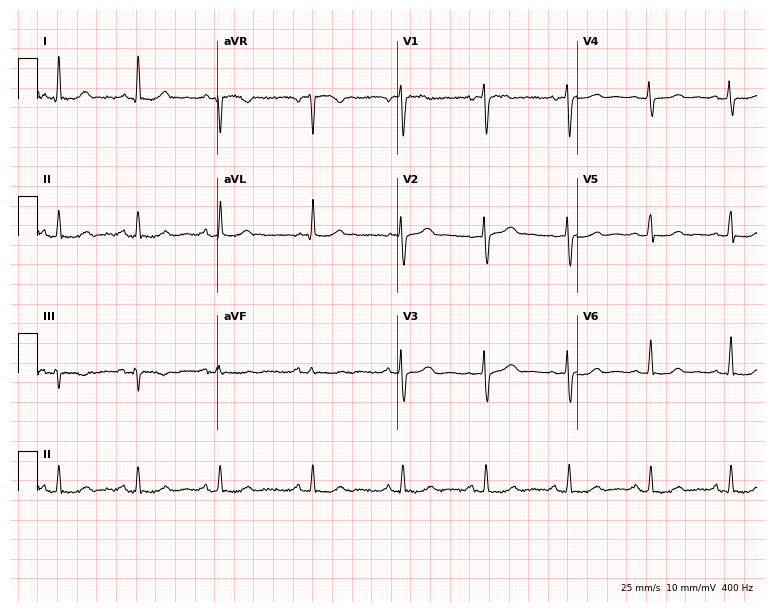
Resting 12-lead electrocardiogram. Patient: a female, 55 years old. None of these six findings is recorded: first-degree AV block, right bundle branch block, left bundle branch block, sinus bradycardia, atrial fibrillation, sinus tachycardia.